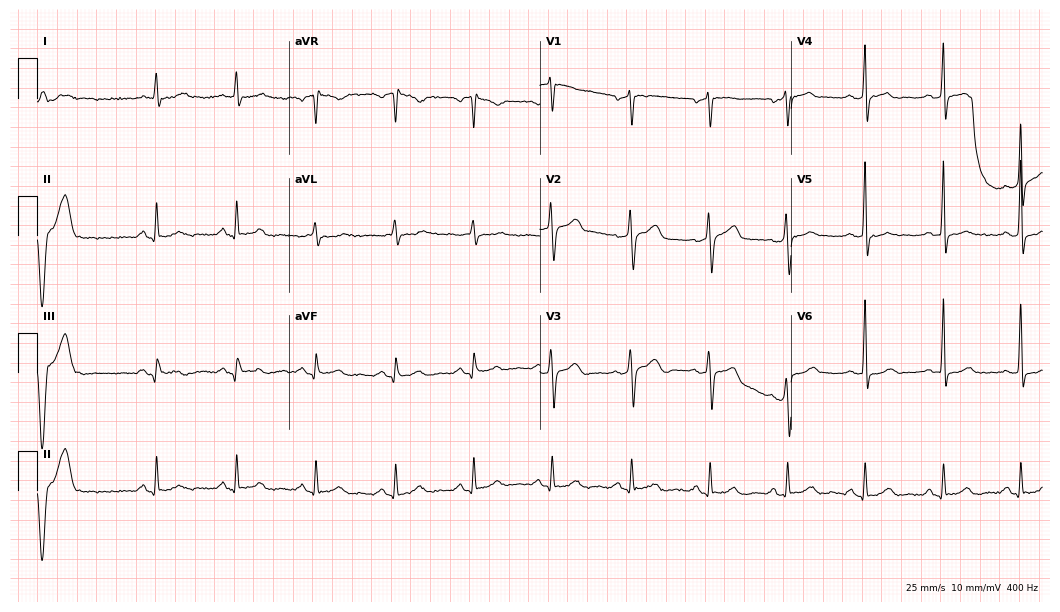
Resting 12-lead electrocardiogram. Patient: a male, 74 years old. None of these six findings is recorded: first-degree AV block, right bundle branch block, left bundle branch block, sinus bradycardia, atrial fibrillation, sinus tachycardia. Only these six findings were labelled.